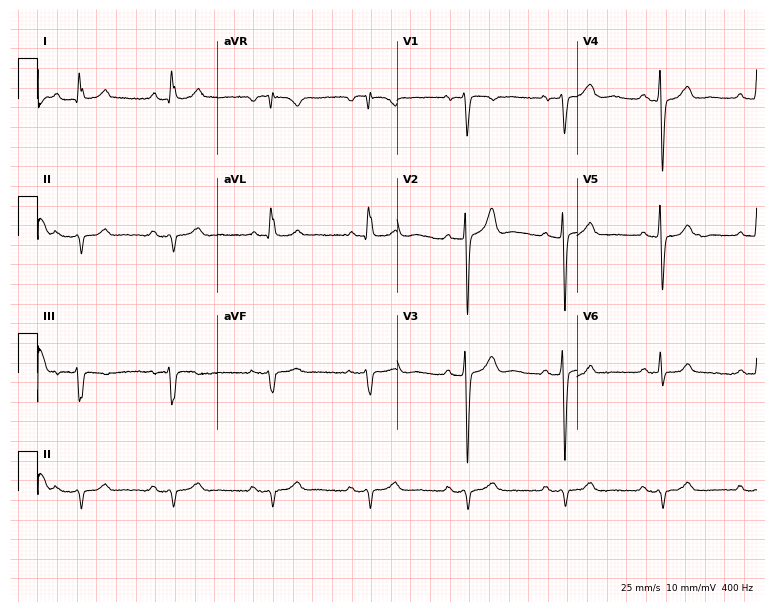
Resting 12-lead electrocardiogram (7.3-second recording at 400 Hz). Patient: a male, 79 years old. None of these six findings is recorded: first-degree AV block, right bundle branch block, left bundle branch block, sinus bradycardia, atrial fibrillation, sinus tachycardia. Only these six findings were labelled.